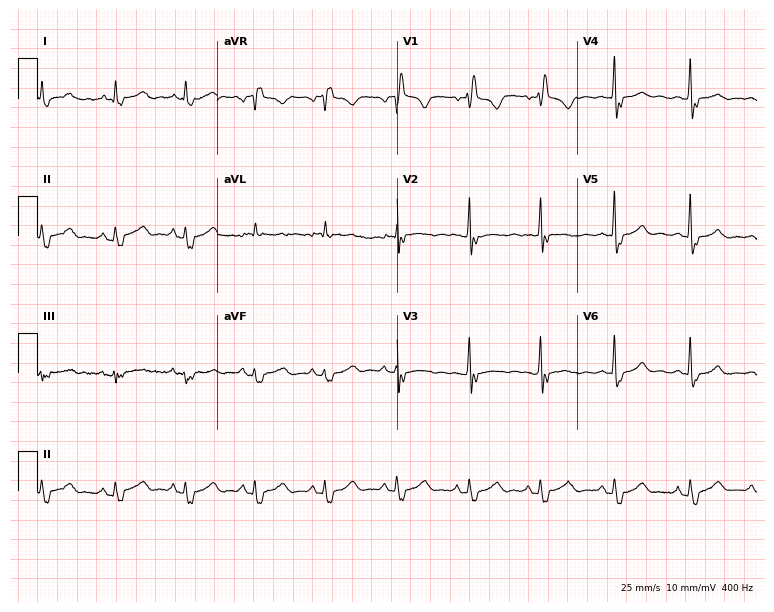
12-lead ECG (7.3-second recording at 400 Hz) from a 75-year-old woman. Findings include right bundle branch block (RBBB).